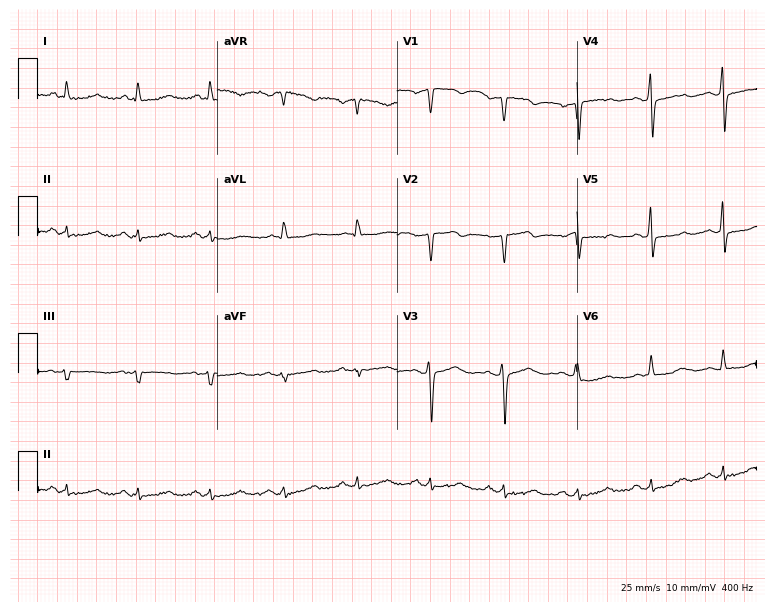
ECG (7.3-second recording at 400 Hz) — a female patient, 51 years old. Screened for six findings — first-degree AV block, right bundle branch block, left bundle branch block, sinus bradycardia, atrial fibrillation, sinus tachycardia — none is recorded.